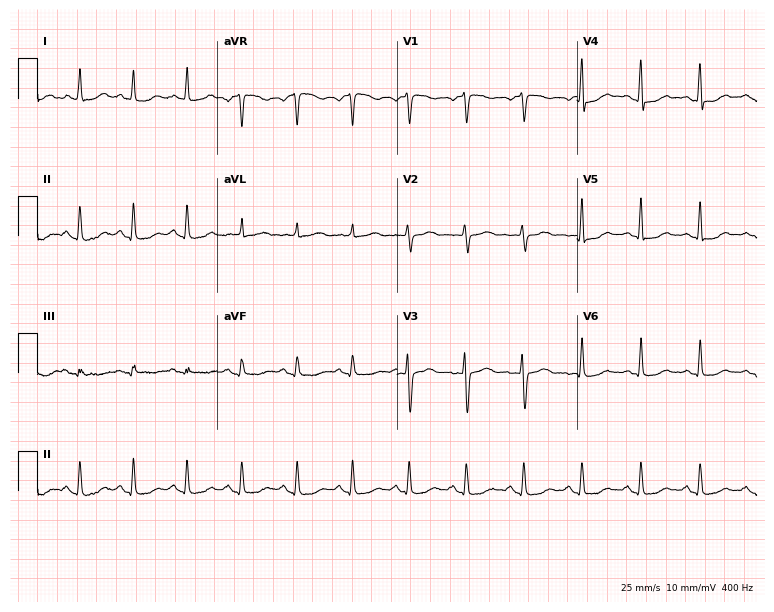
ECG — a 50-year-old female. Findings include sinus tachycardia (a sinus rate of 100 beats per minute or more).